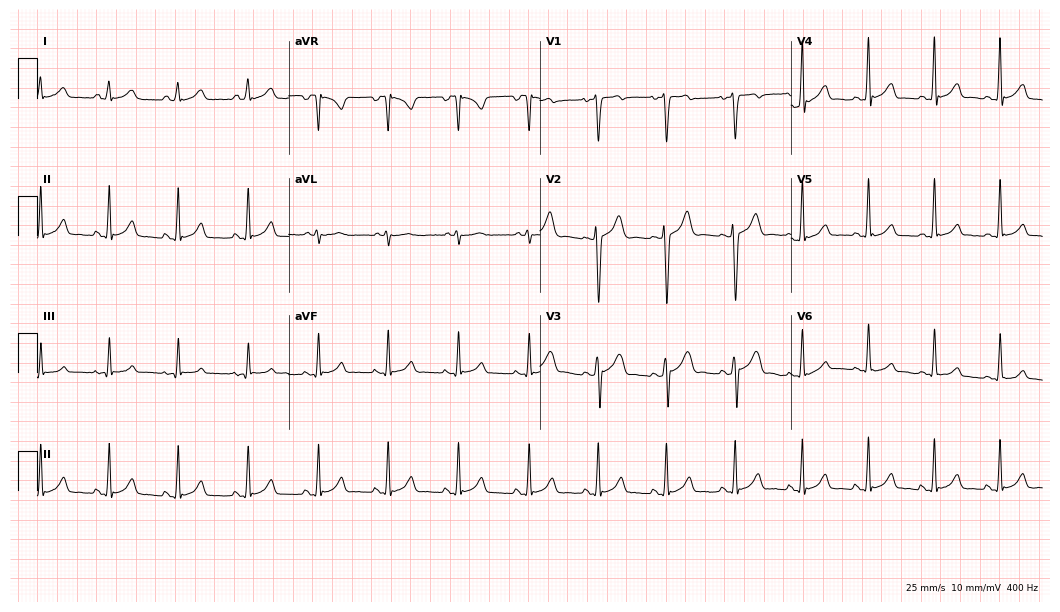
Electrocardiogram, a male patient, 18 years old. Overall reading on record: normal ECG.